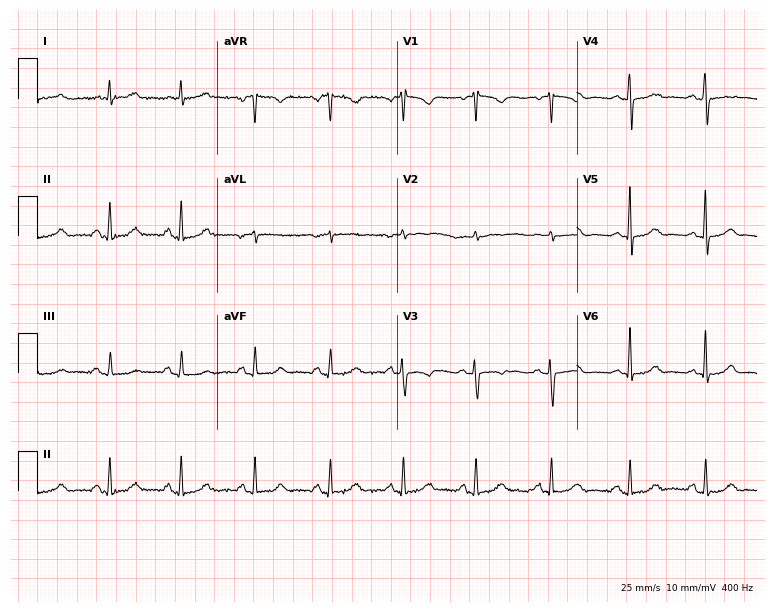
Standard 12-lead ECG recorded from an 81-year-old female patient. Read as a normal ECG.